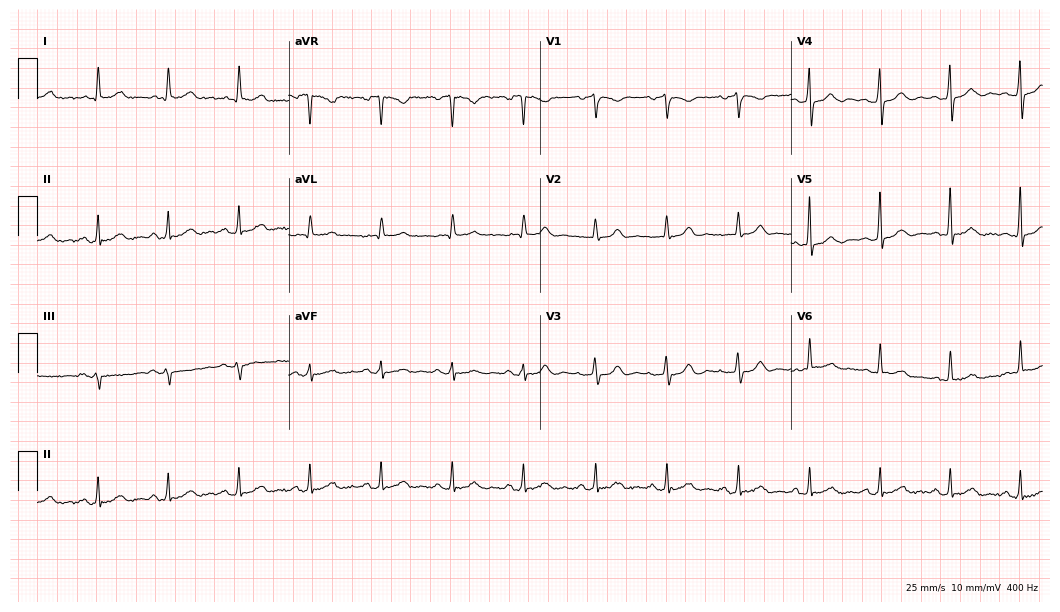
Resting 12-lead electrocardiogram. Patient: a 77-year-old man. Read as a normal ECG.